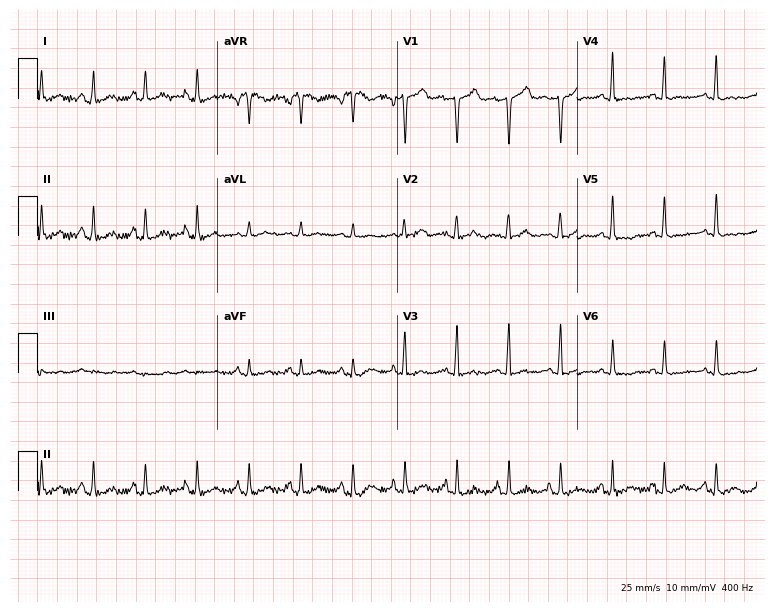
Electrocardiogram (7.3-second recording at 400 Hz), a female, 57 years old. Interpretation includes sinus tachycardia (a sinus rate of 100 beats per minute or more).